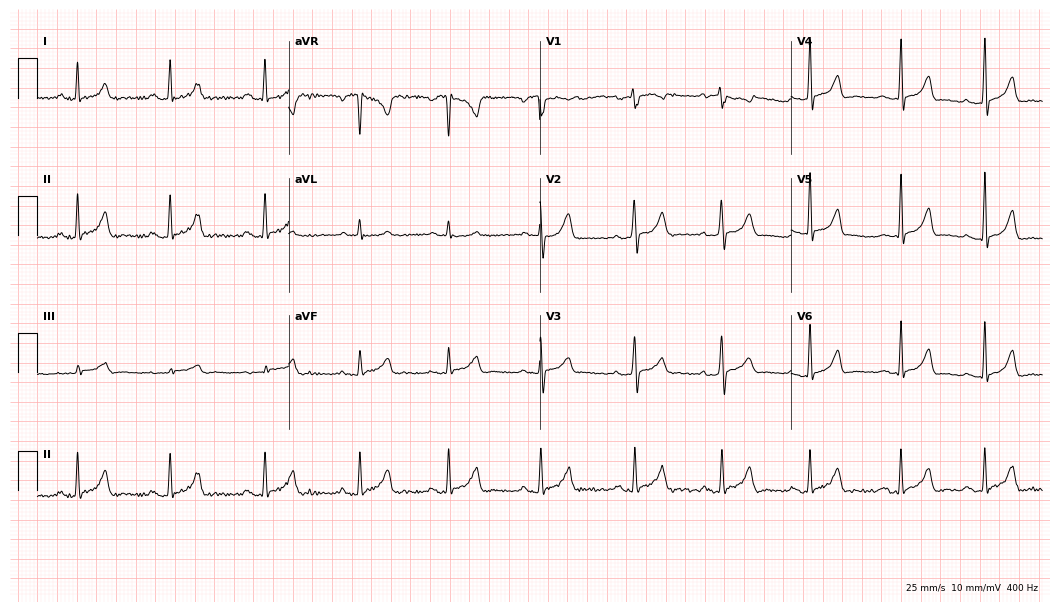
Electrocardiogram (10.2-second recording at 400 Hz), a female, 26 years old. Overall reading on record: normal ECG.